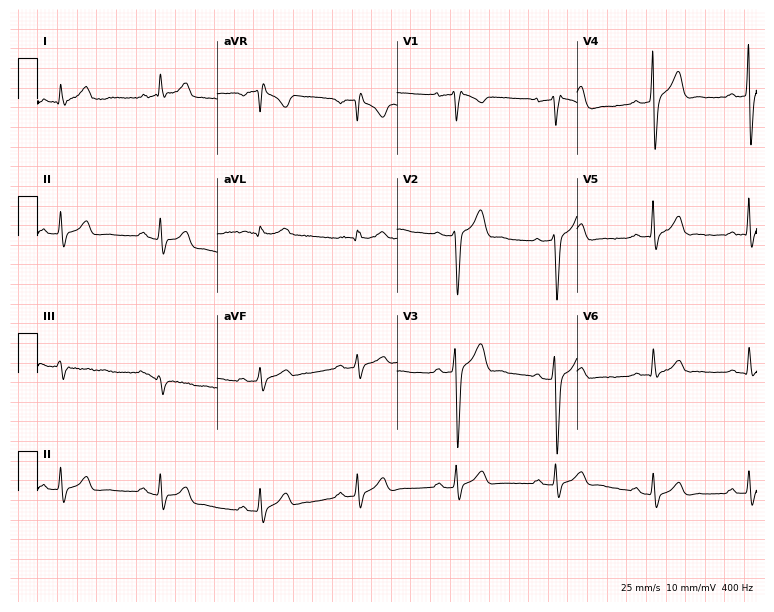
12-lead ECG (7.3-second recording at 400 Hz) from a male patient, 39 years old. Screened for six findings — first-degree AV block, right bundle branch block, left bundle branch block, sinus bradycardia, atrial fibrillation, sinus tachycardia — none is recorded.